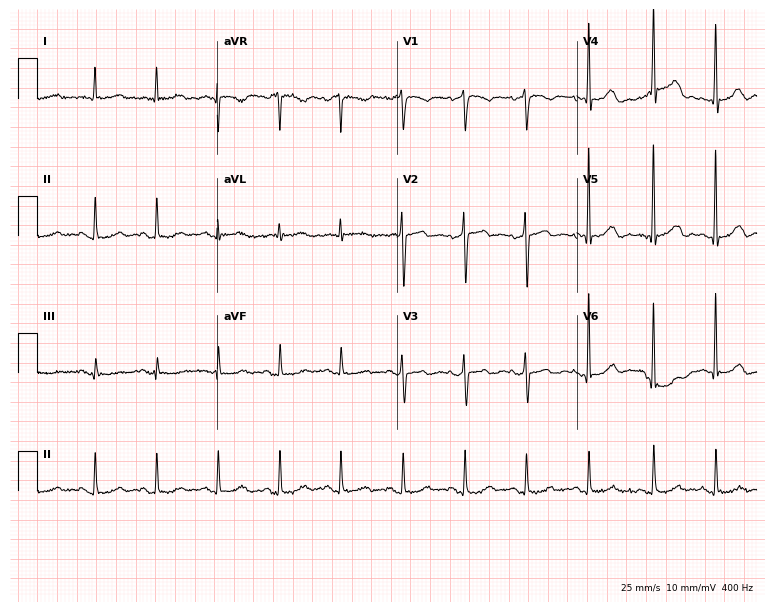
Standard 12-lead ECG recorded from a 79-year-old female (7.3-second recording at 400 Hz). None of these six findings is recorded: first-degree AV block, right bundle branch block, left bundle branch block, sinus bradycardia, atrial fibrillation, sinus tachycardia.